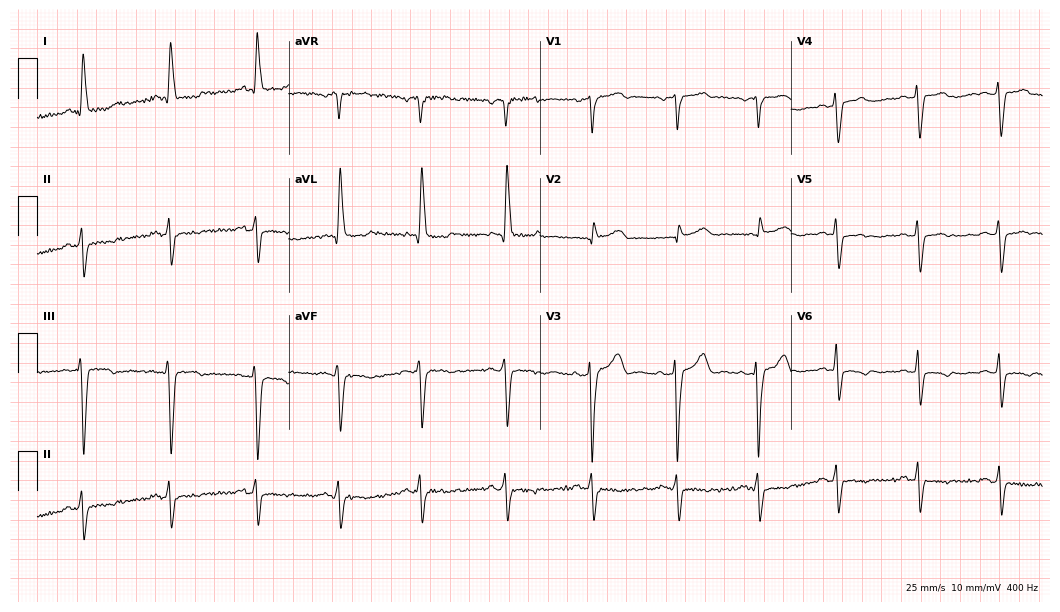
Electrocardiogram (10.2-second recording at 400 Hz), a female patient, 70 years old. Of the six screened findings (first-degree AV block, right bundle branch block, left bundle branch block, sinus bradycardia, atrial fibrillation, sinus tachycardia), none is recorded.